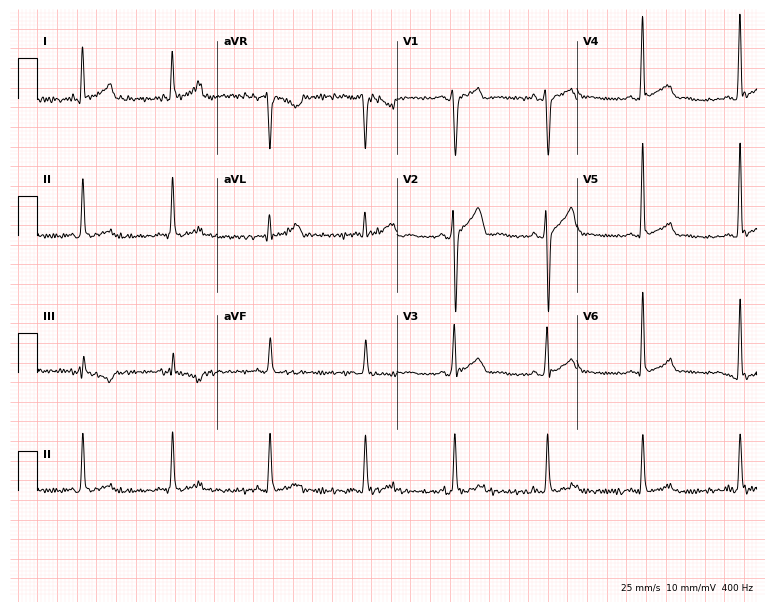
12-lead ECG from a 23-year-old man. No first-degree AV block, right bundle branch block, left bundle branch block, sinus bradycardia, atrial fibrillation or sinus tachycardia recorded for this tracing. Other findings, if any, are not listed.